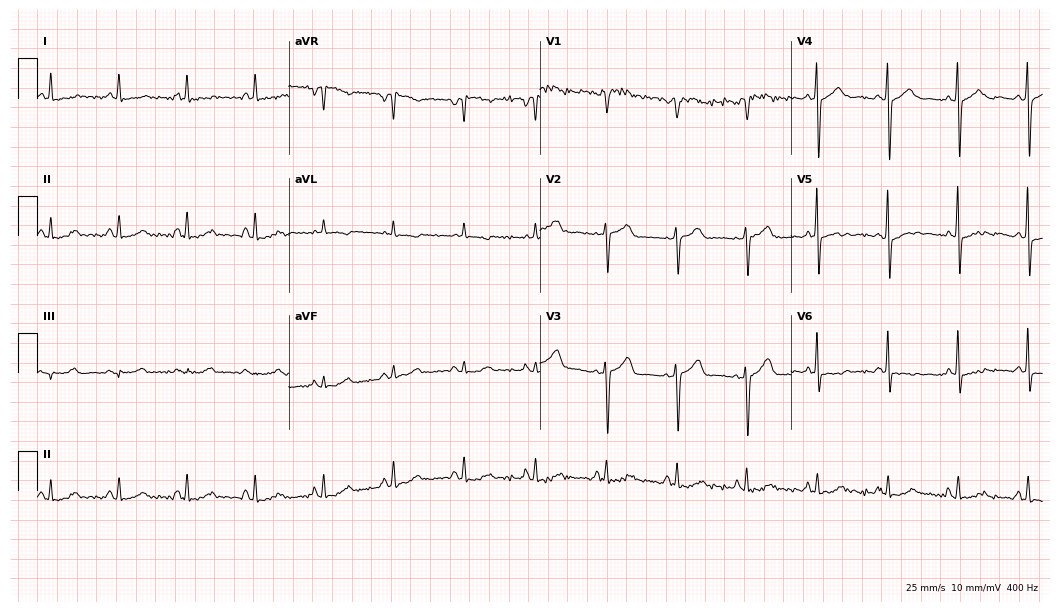
Standard 12-lead ECG recorded from a female, 71 years old. None of these six findings is recorded: first-degree AV block, right bundle branch block, left bundle branch block, sinus bradycardia, atrial fibrillation, sinus tachycardia. Only these six findings were labelled.